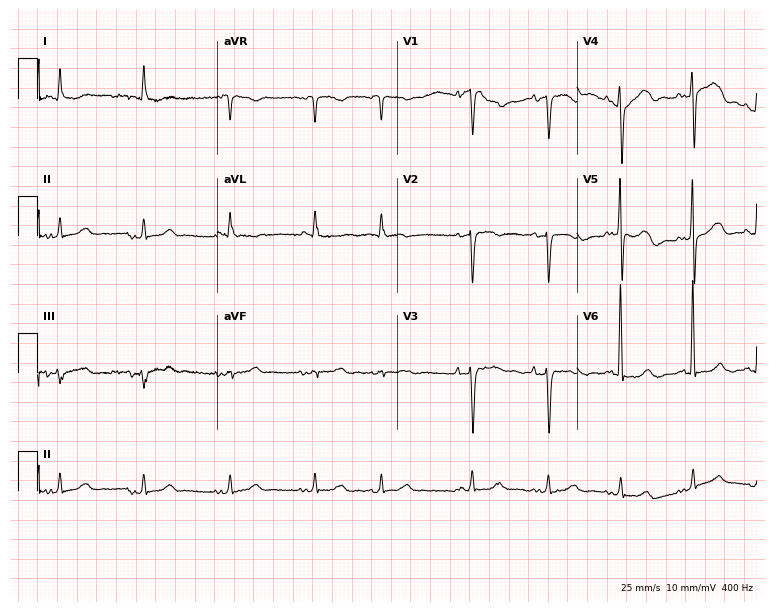
Standard 12-lead ECG recorded from a female patient, 78 years old (7.3-second recording at 400 Hz). None of these six findings is recorded: first-degree AV block, right bundle branch block, left bundle branch block, sinus bradycardia, atrial fibrillation, sinus tachycardia.